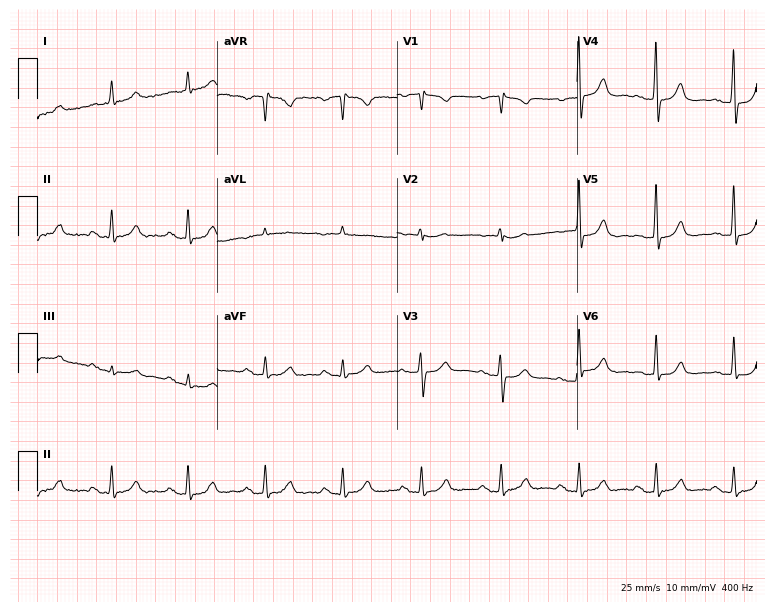
Resting 12-lead electrocardiogram (7.3-second recording at 400 Hz). Patient: a female, 71 years old. The tracing shows first-degree AV block.